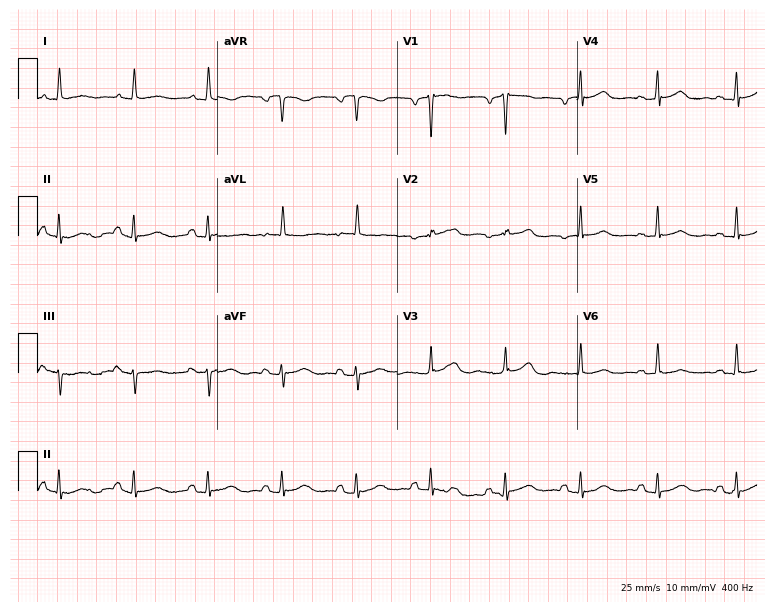
Electrocardiogram, a 62-year-old woman. Overall reading on record: normal ECG.